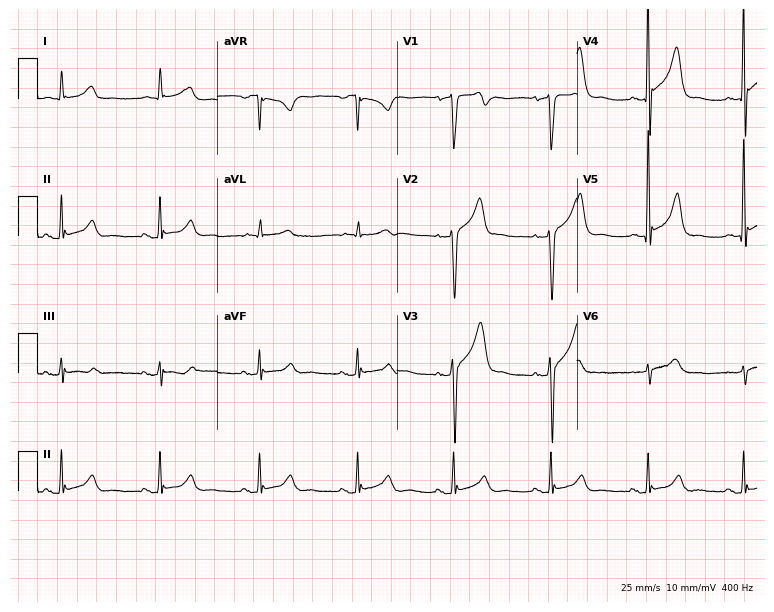
12-lead ECG (7.3-second recording at 400 Hz) from a male patient, 85 years old. Screened for six findings — first-degree AV block, right bundle branch block, left bundle branch block, sinus bradycardia, atrial fibrillation, sinus tachycardia — none is recorded.